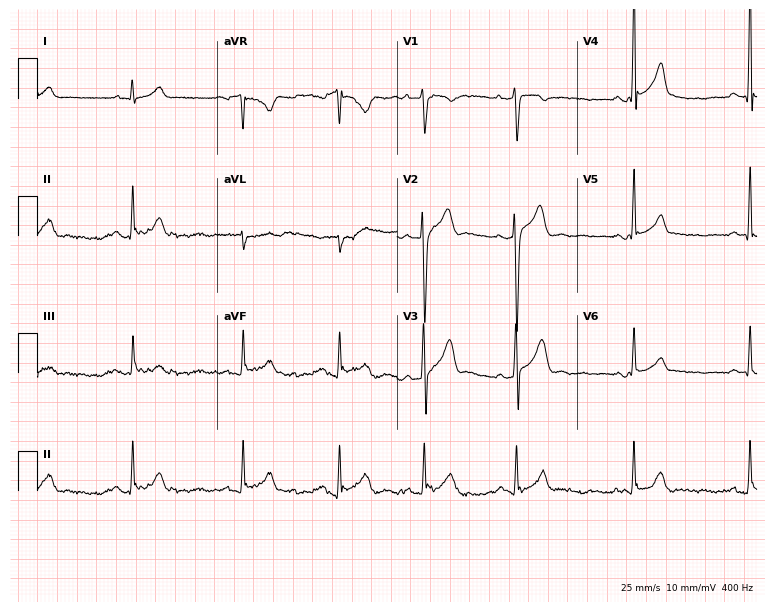
Electrocardiogram, a male, 18 years old. Of the six screened findings (first-degree AV block, right bundle branch block (RBBB), left bundle branch block (LBBB), sinus bradycardia, atrial fibrillation (AF), sinus tachycardia), none is recorded.